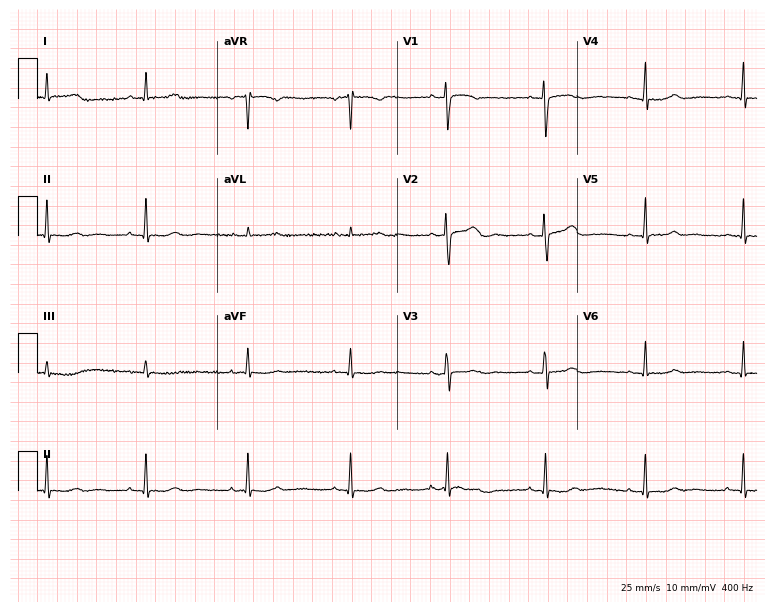
12-lead ECG from a woman, 29 years old. Labelled as a normal ECG.